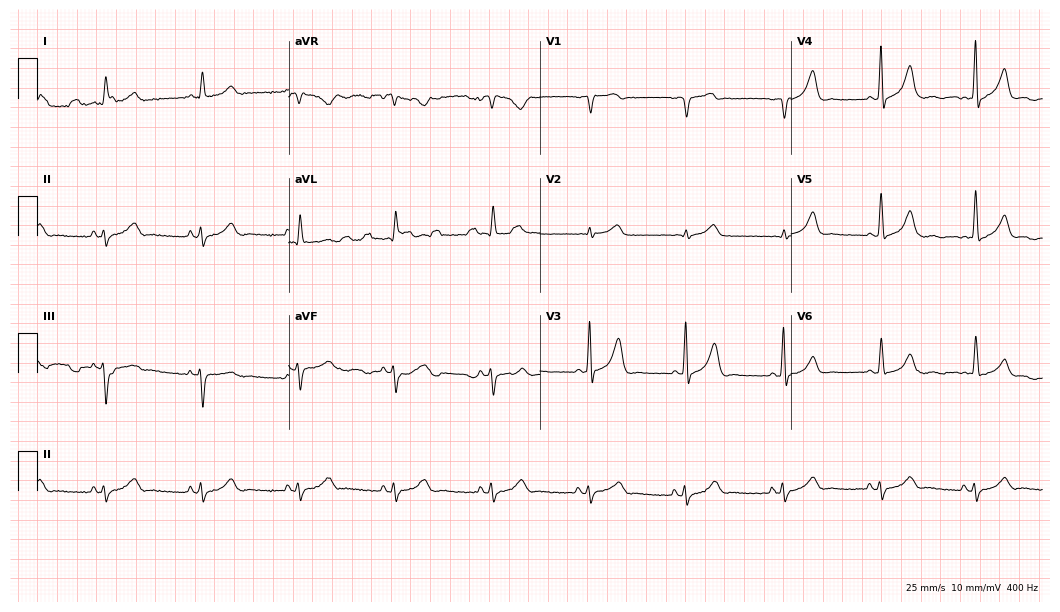
ECG — a 72-year-old male patient. Labelled as a normal ECG.